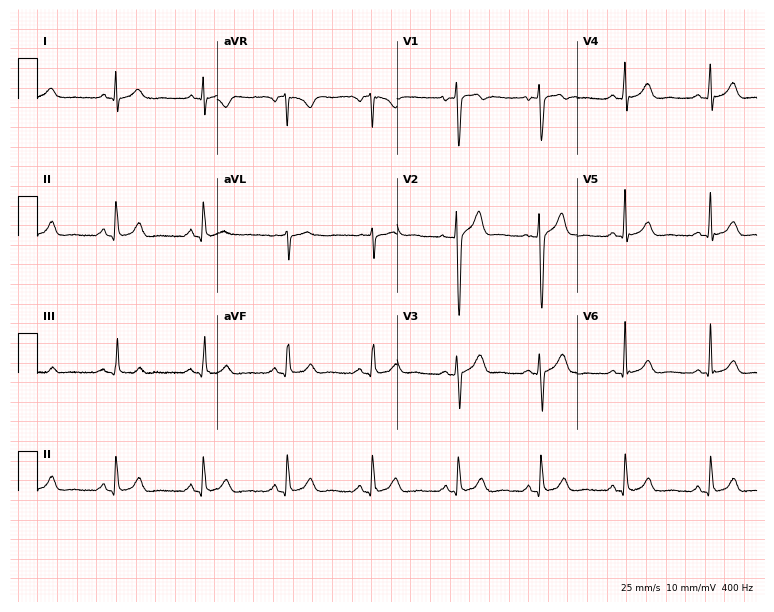
Electrocardiogram (7.3-second recording at 400 Hz), a male, 43 years old. Overall reading on record: normal ECG.